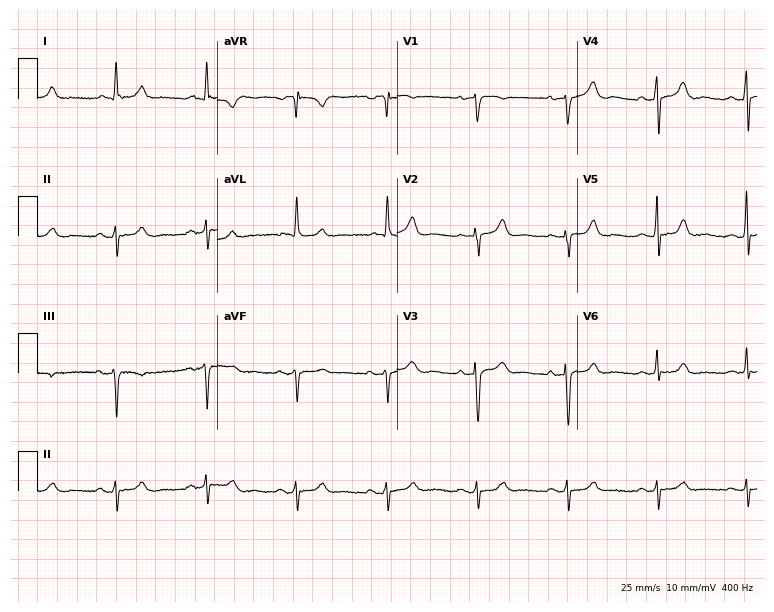
12-lead ECG from a man, 78 years old (7.3-second recording at 400 Hz). No first-degree AV block, right bundle branch block, left bundle branch block, sinus bradycardia, atrial fibrillation or sinus tachycardia recorded for this tracing.